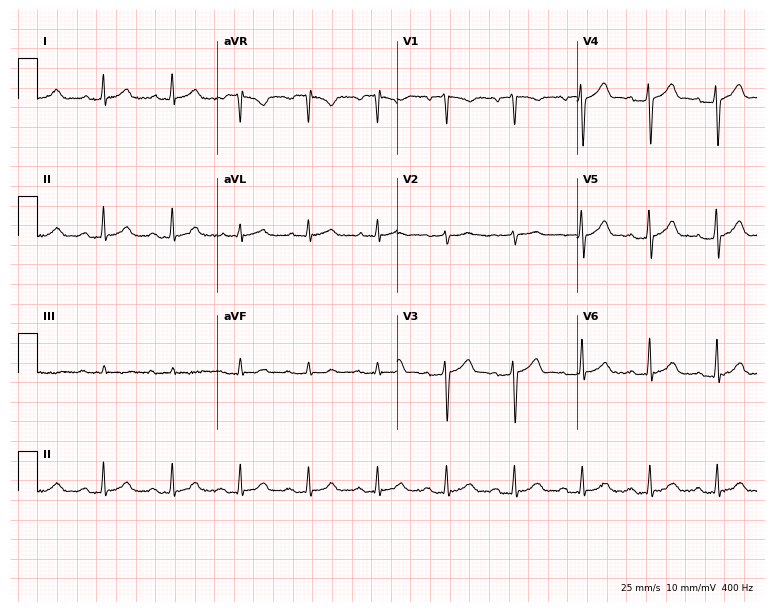
ECG — a male, 66 years old. Labelled as a normal ECG.